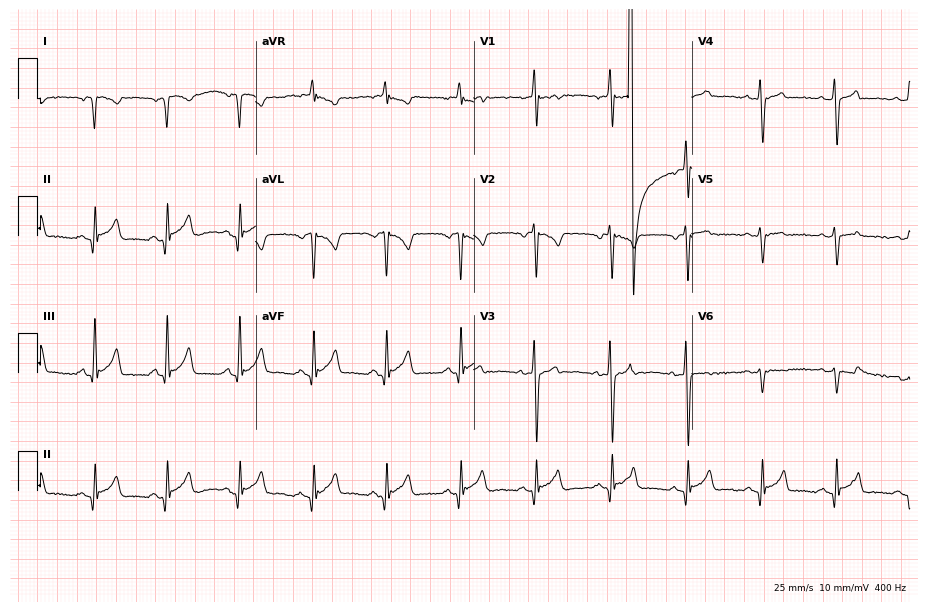
ECG (8.9-second recording at 400 Hz) — a man, 18 years old. Screened for six findings — first-degree AV block, right bundle branch block (RBBB), left bundle branch block (LBBB), sinus bradycardia, atrial fibrillation (AF), sinus tachycardia — none is recorded.